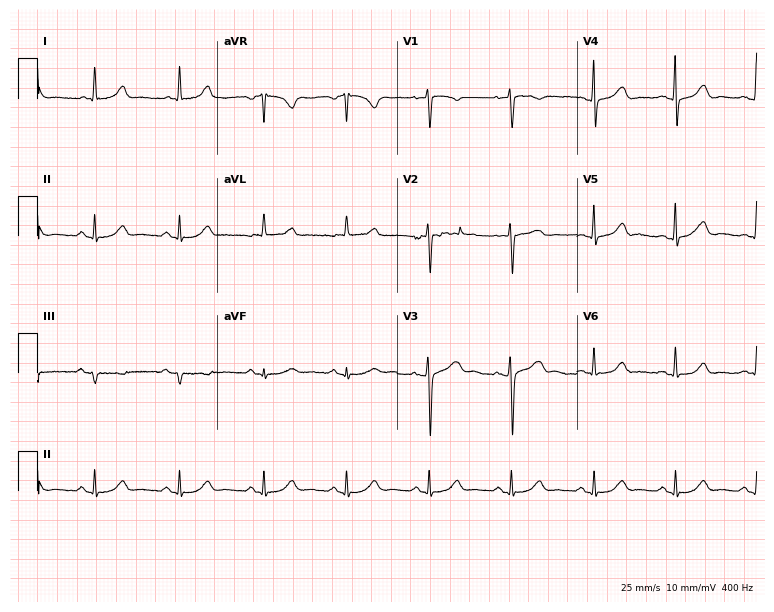
12-lead ECG from a 67-year-old female patient. Screened for six findings — first-degree AV block, right bundle branch block, left bundle branch block, sinus bradycardia, atrial fibrillation, sinus tachycardia — none is recorded. Findings outside these six are not listed.